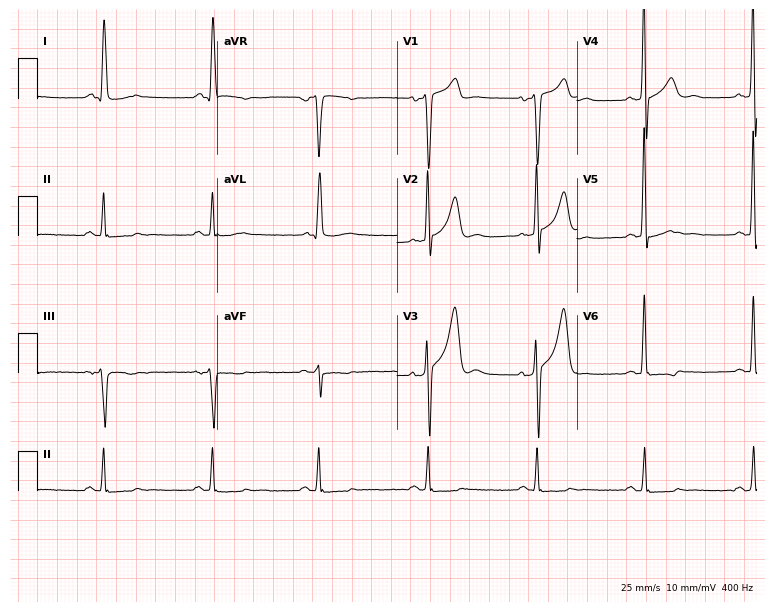
12-lead ECG from a 43-year-old man. Screened for six findings — first-degree AV block, right bundle branch block (RBBB), left bundle branch block (LBBB), sinus bradycardia, atrial fibrillation (AF), sinus tachycardia — none is recorded. Findings outside these six are not listed.